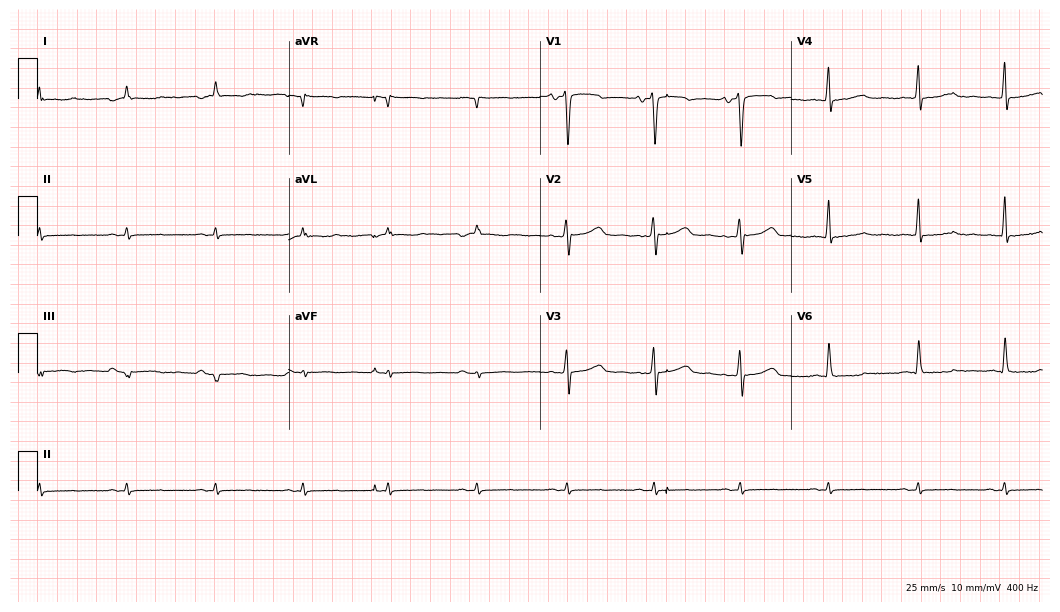
12-lead ECG from a woman, 44 years old. Screened for six findings — first-degree AV block, right bundle branch block (RBBB), left bundle branch block (LBBB), sinus bradycardia, atrial fibrillation (AF), sinus tachycardia — none is recorded.